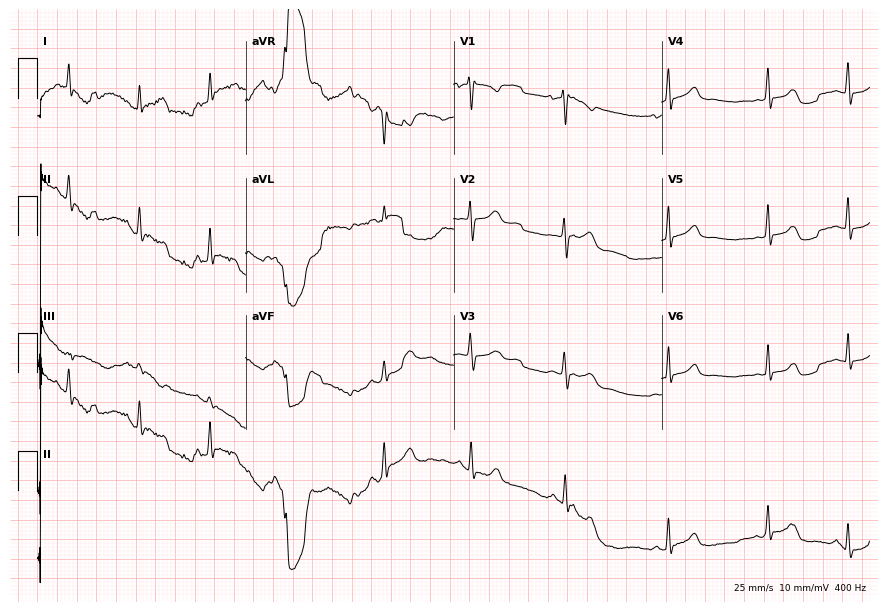
ECG (8.5-second recording at 400 Hz) — a female patient, 23 years old. Labelled as a normal ECG.